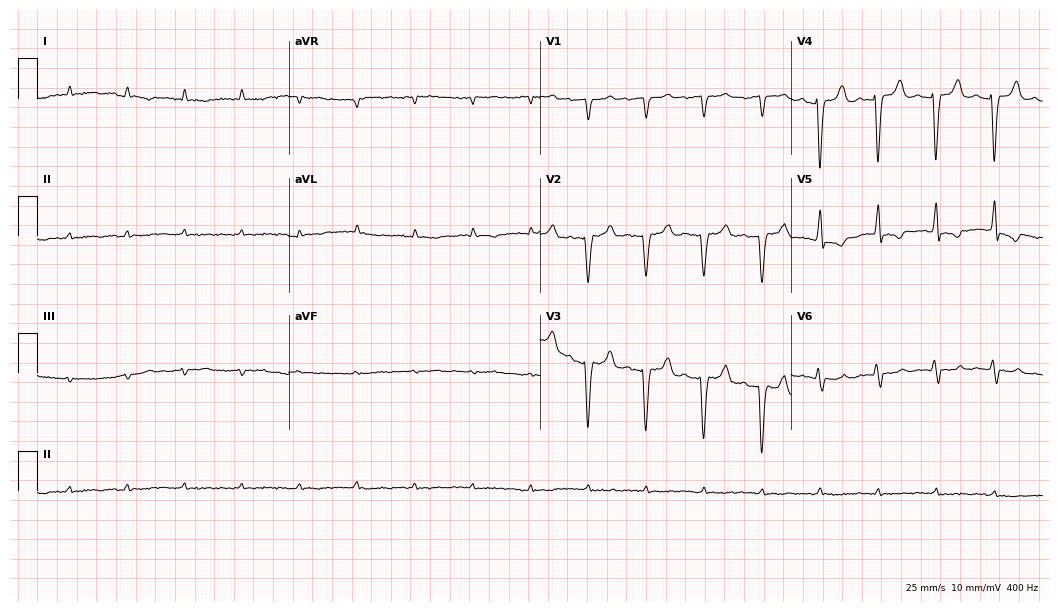
ECG (10.2-second recording at 400 Hz) — a 77-year-old man. Findings include sinus tachycardia (a sinus rate of 100 beats per minute or more).